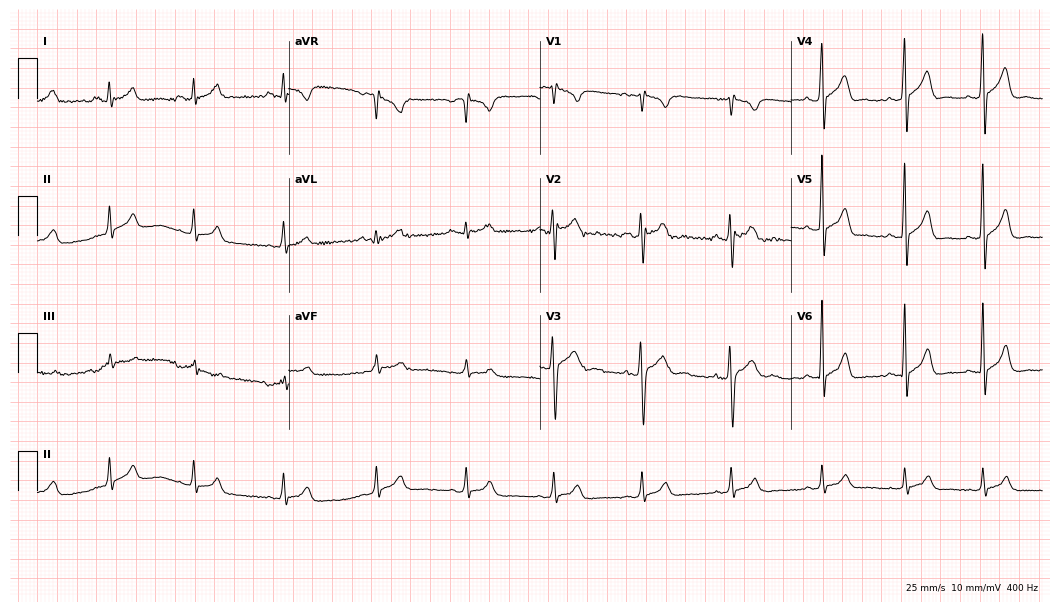
Standard 12-lead ECG recorded from a man, 26 years old. None of these six findings is recorded: first-degree AV block, right bundle branch block, left bundle branch block, sinus bradycardia, atrial fibrillation, sinus tachycardia. Findings outside these six are not listed.